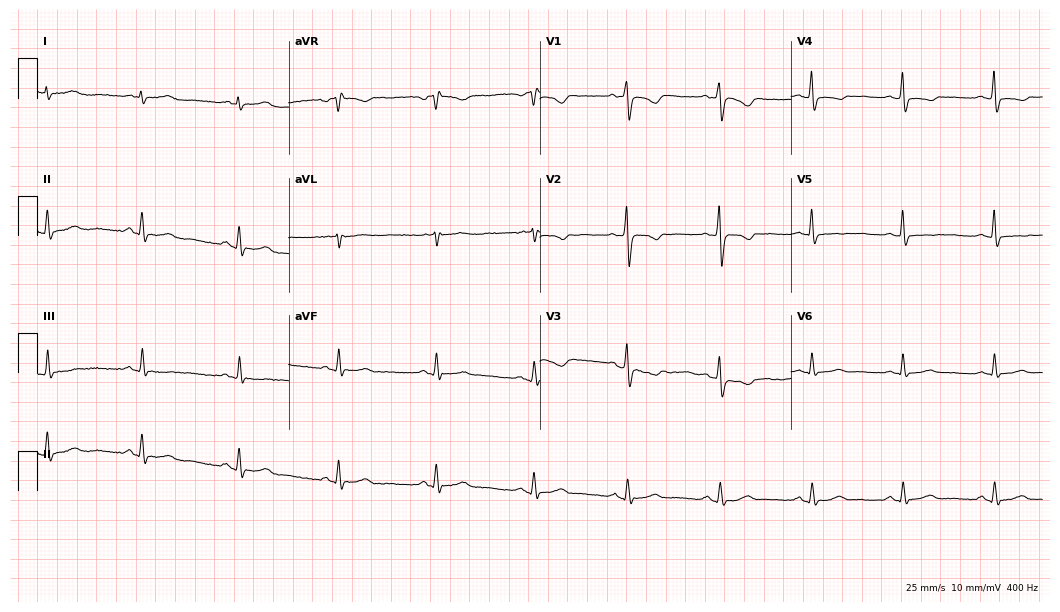
12-lead ECG from a 63-year-old female patient. Screened for six findings — first-degree AV block, right bundle branch block, left bundle branch block, sinus bradycardia, atrial fibrillation, sinus tachycardia — none is recorded. Only these six findings were labelled.